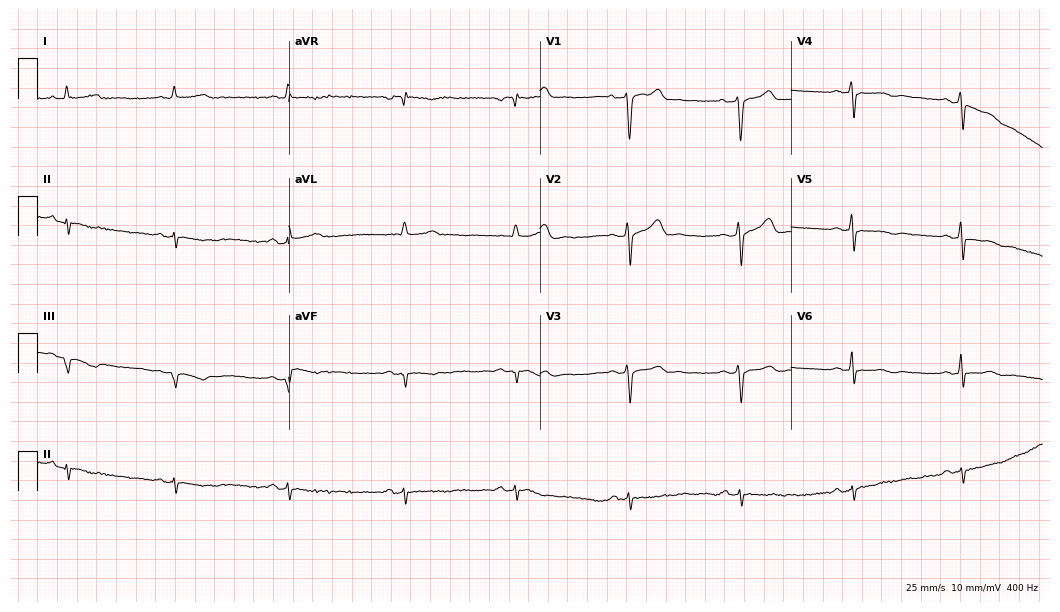
Resting 12-lead electrocardiogram. Patient: a man, 81 years old. None of these six findings is recorded: first-degree AV block, right bundle branch block, left bundle branch block, sinus bradycardia, atrial fibrillation, sinus tachycardia. Other findings, if any, are not listed.